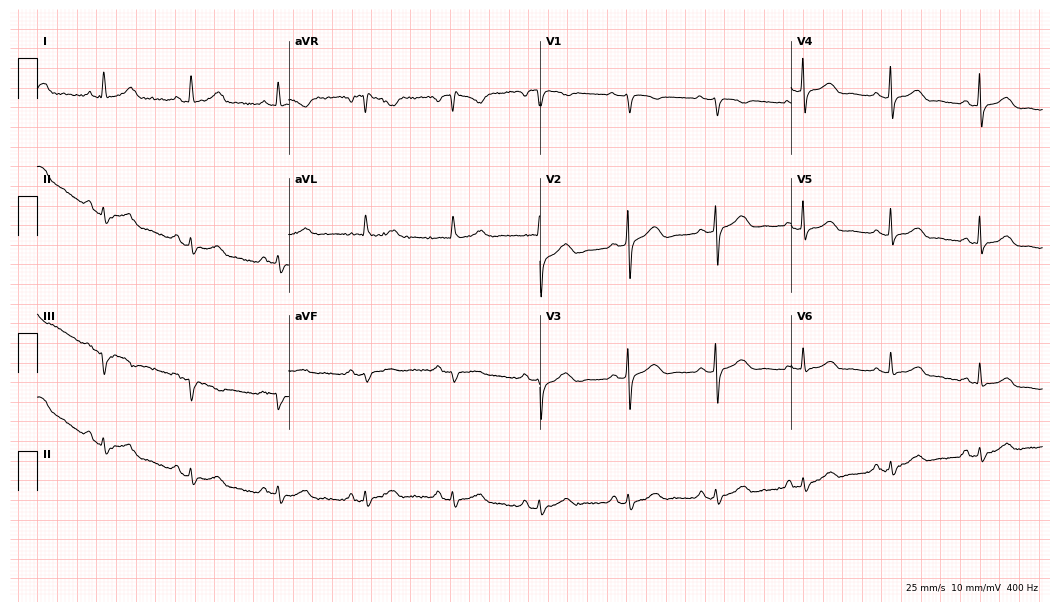
ECG (10.2-second recording at 400 Hz) — an 83-year-old woman. Screened for six findings — first-degree AV block, right bundle branch block, left bundle branch block, sinus bradycardia, atrial fibrillation, sinus tachycardia — none is recorded.